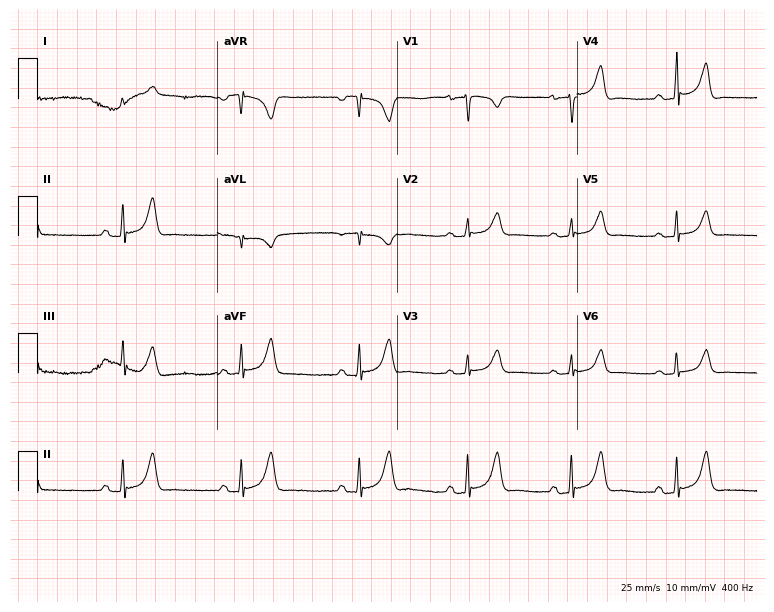
Resting 12-lead electrocardiogram (7.3-second recording at 400 Hz). Patient: a 56-year-old female. None of these six findings is recorded: first-degree AV block, right bundle branch block, left bundle branch block, sinus bradycardia, atrial fibrillation, sinus tachycardia.